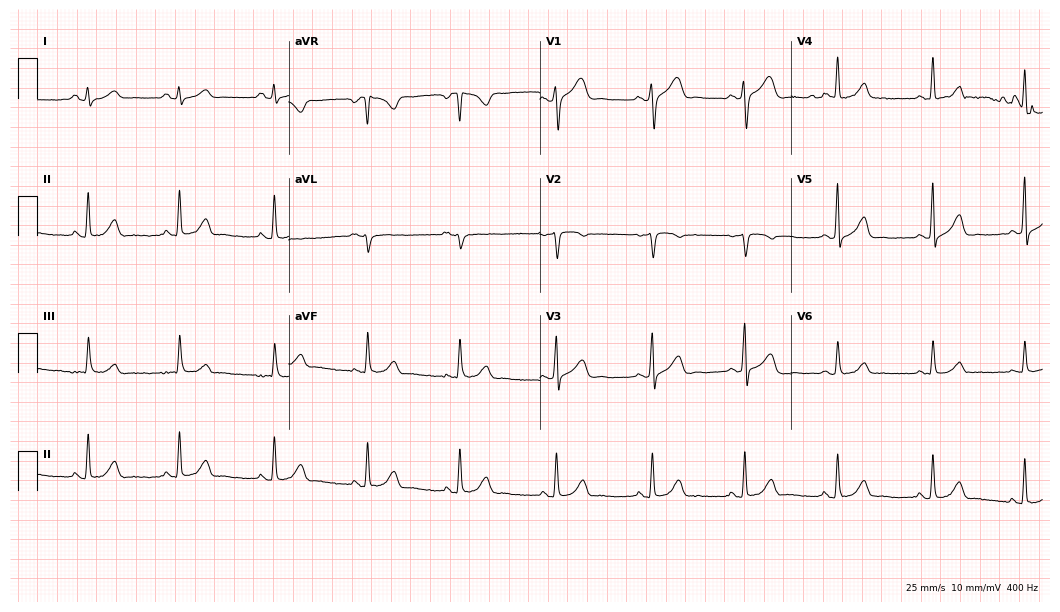
Electrocardiogram (10.2-second recording at 400 Hz), a 20-year-old female. Of the six screened findings (first-degree AV block, right bundle branch block, left bundle branch block, sinus bradycardia, atrial fibrillation, sinus tachycardia), none is recorded. Only these six findings were labelled.